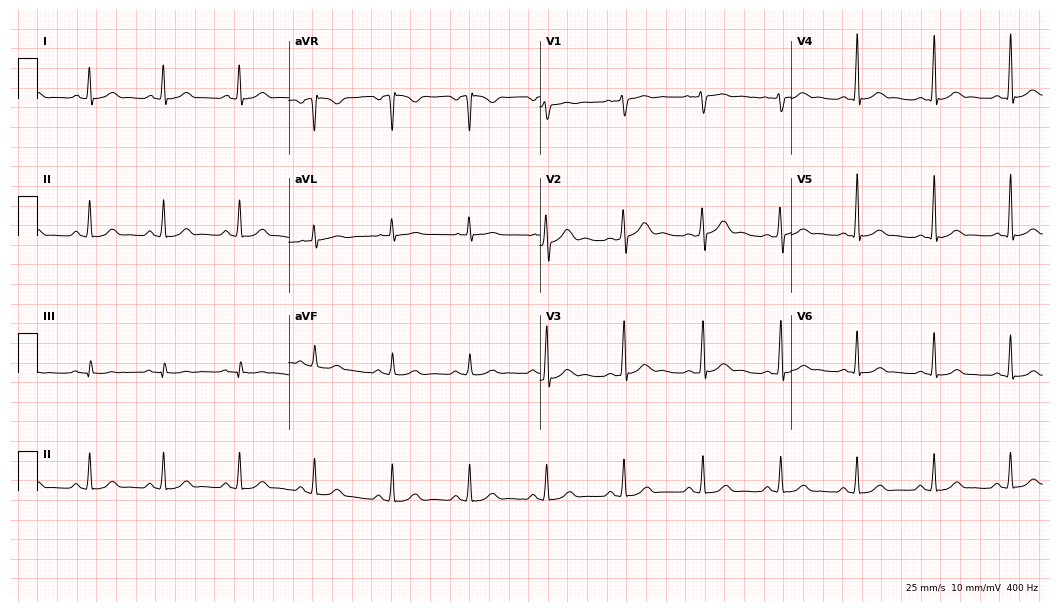
12-lead ECG from a 39-year-old male (10.2-second recording at 400 Hz). Recorded interpretation: within normal limits.